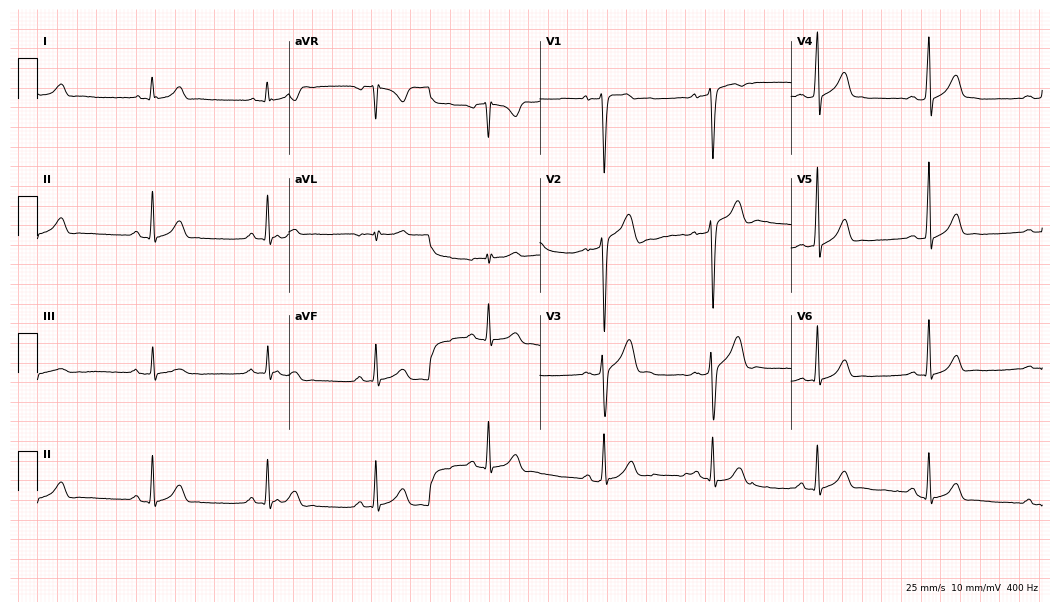
Standard 12-lead ECG recorded from a 27-year-old woman (10.2-second recording at 400 Hz). None of these six findings is recorded: first-degree AV block, right bundle branch block (RBBB), left bundle branch block (LBBB), sinus bradycardia, atrial fibrillation (AF), sinus tachycardia. Only these six findings were labelled.